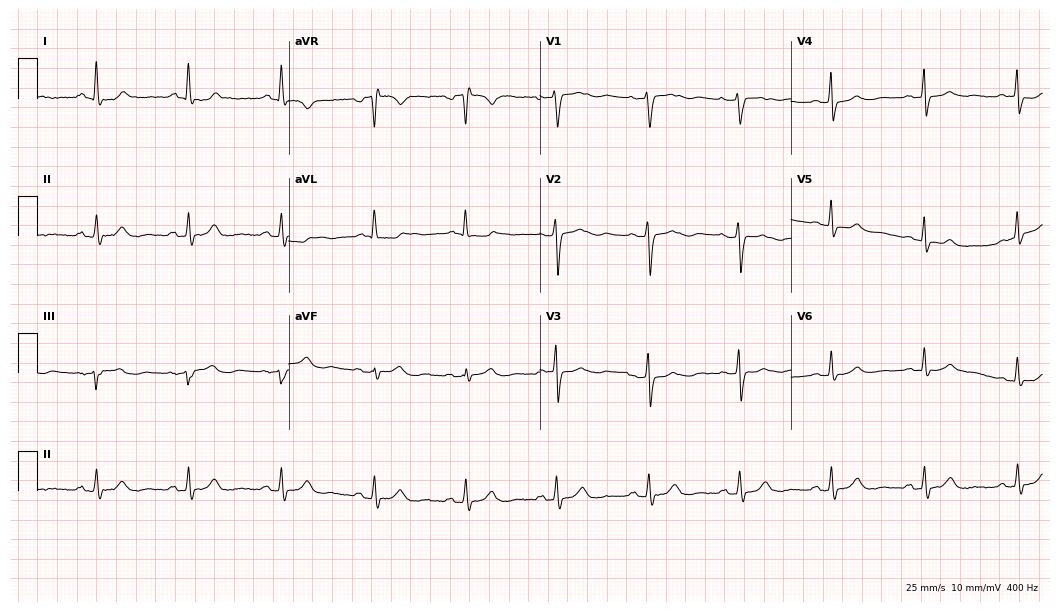
12-lead ECG from a 66-year-old female. Labelled as a normal ECG.